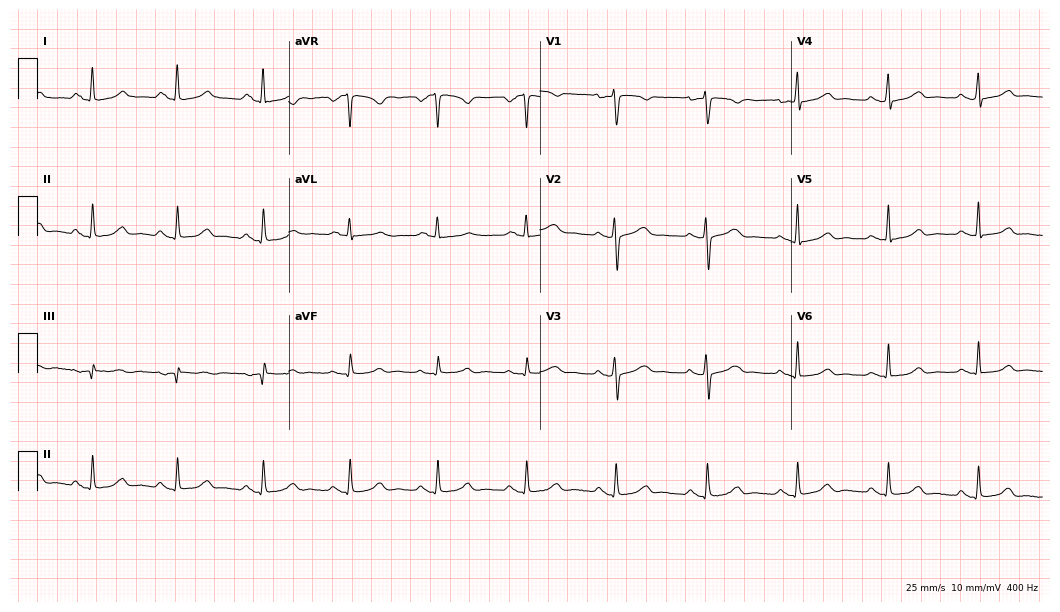
Resting 12-lead electrocardiogram. Patient: a 43-year-old woman. None of these six findings is recorded: first-degree AV block, right bundle branch block, left bundle branch block, sinus bradycardia, atrial fibrillation, sinus tachycardia. Only these six findings were labelled.